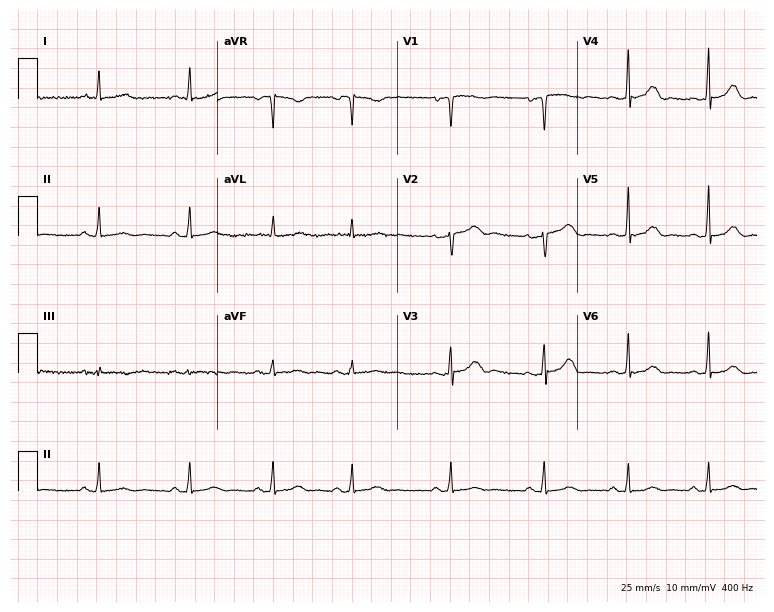
Electrocardiogram, a 77-year-old female patient. Overall reading on record: normal ECG.